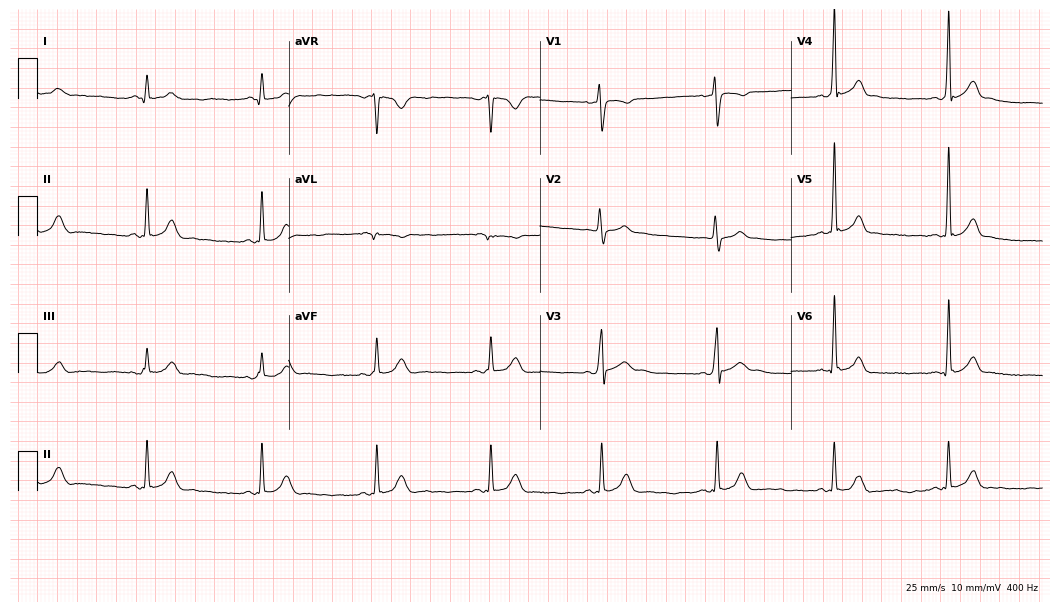
12-lead ECG from a 25-year-old male patient. Screened for six findings — first-degree AV block, right bundle branch block, left bundle branch block, sinus bradycardia, atrial fibrillation, sinus tachycardia — none is recorded. Other findings, if any, are not listed.